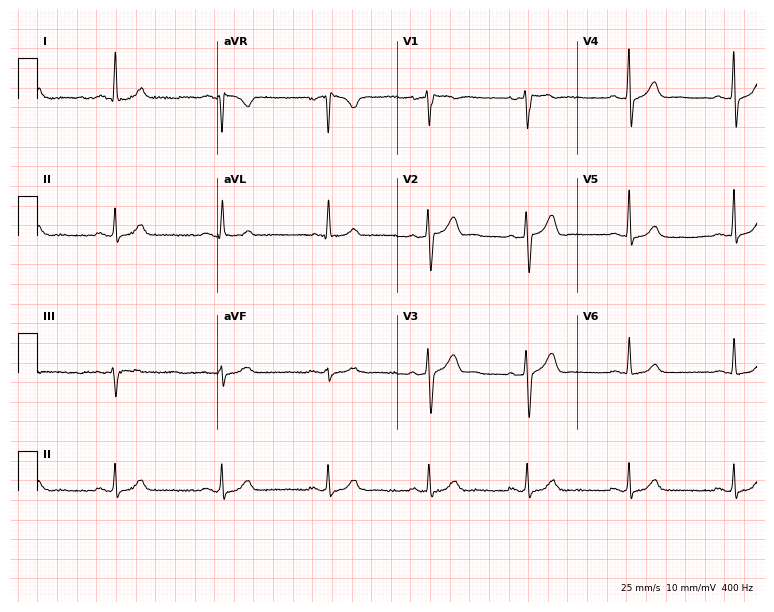
Resting 12-lead electrocardiogram (7.3-second recording at 400 Hz). Patient: a 58-year-old man. Read as a normal ECG.